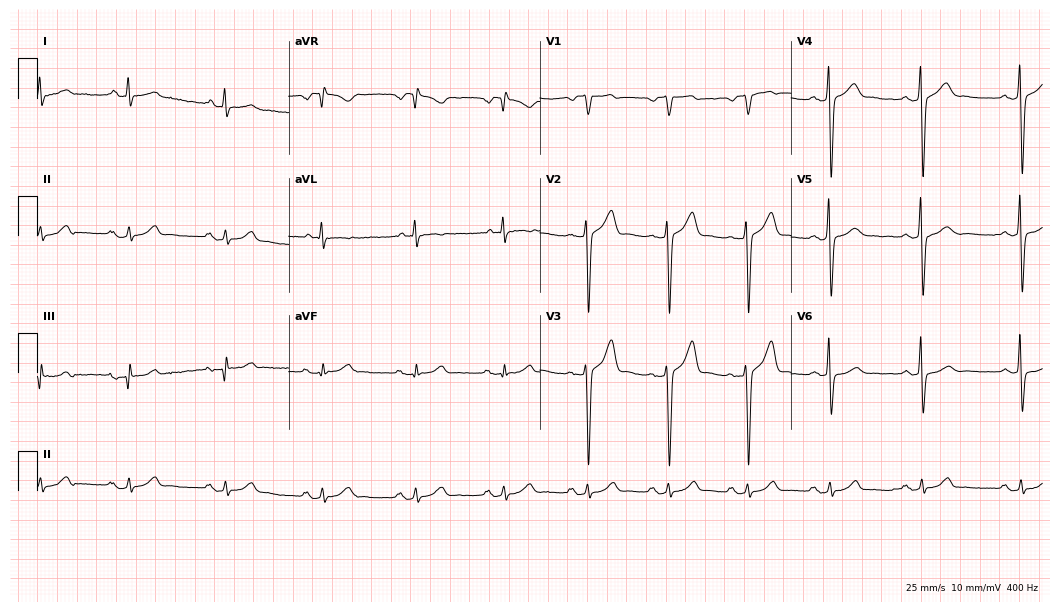
Resting 12-lead electrocardiogram (10.2-second recording at 400 Hz). Patient: a male, 36 years old. None of these six findings is recorded: first-degree AV block, right bundle branch block (RBBB), left bundle branch block (LBBB), sinus bradycardia, atrial fibrillation (AF), sinus tachycardia. Other findings, if any, are not listed.